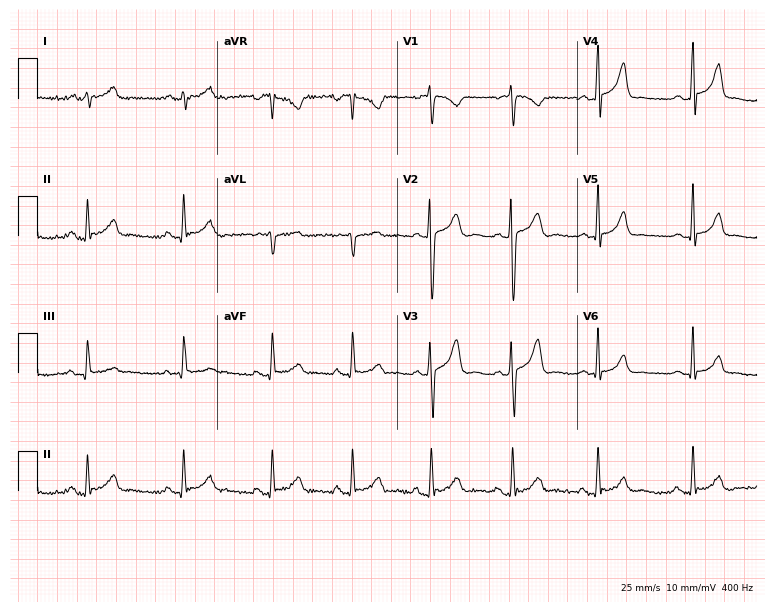
12-lead ECG from a 29-year-old man. Recorded interpretation: within normal limits.